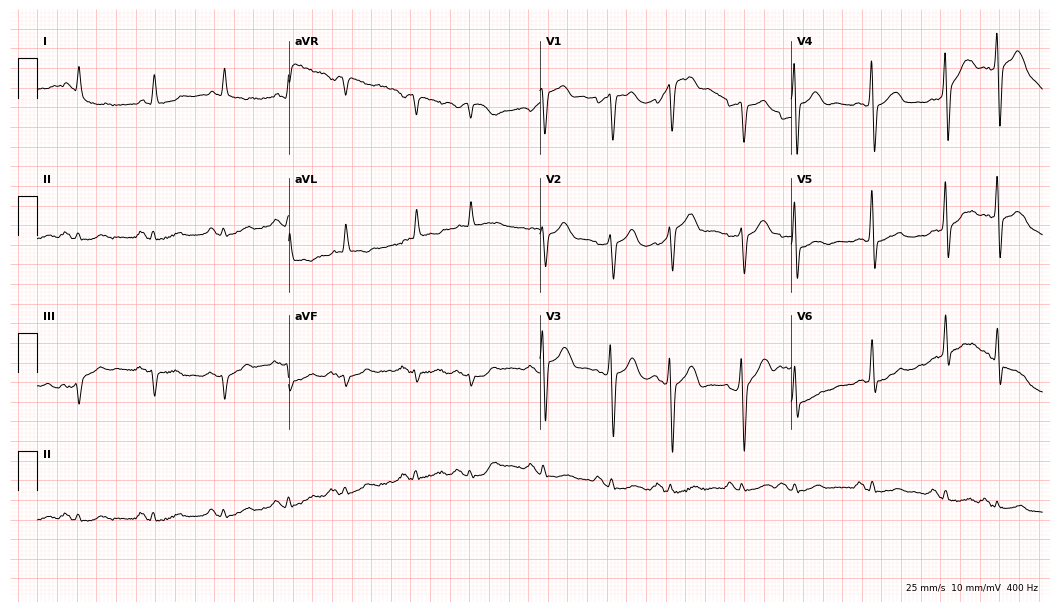
12-lead ECG (10.2-second recording at 400 Hz) from an 80-year-old male. Screened for six findings — first-degree AV block, right bundle branch block, left bundle branch block, sinus bradycardia, atrial fibrillation, sinus tachycardia — none is recorded.